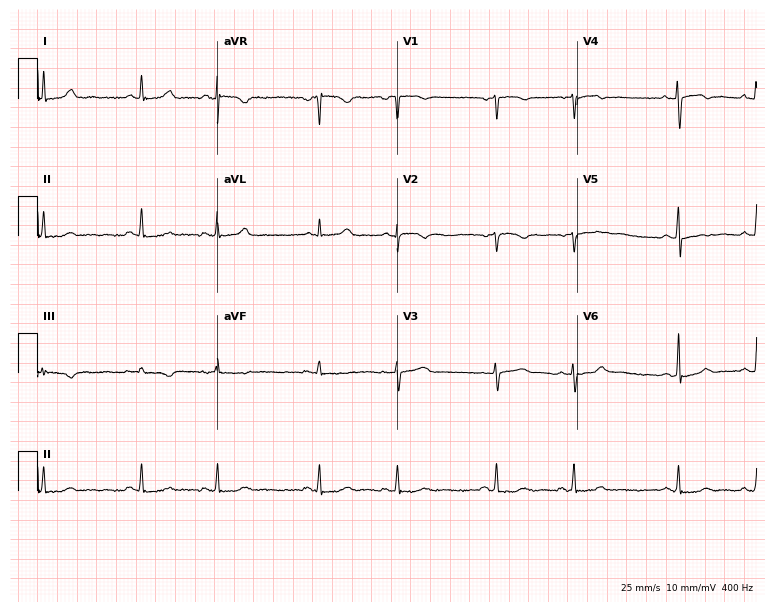
12-lead ECG from a 49-year-old female patient (7.3-second recording at 400 Hz). No first-degree AV block, right bundle branch block (RBBB), left bundle branch block (LBBB), sinus bradycardia, atrial fibrillation (AF) or sinus tachycardia recorded for this tracing.